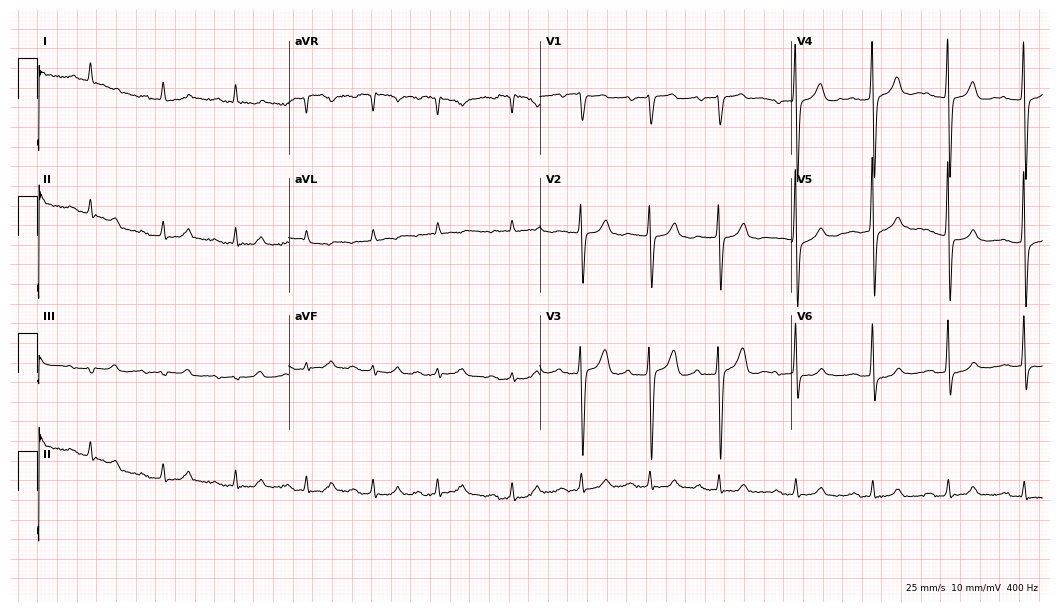
Resting 12-lead electrocardiogram. Patient: an 85-year-old male. The tracing shows first-degree AV block.